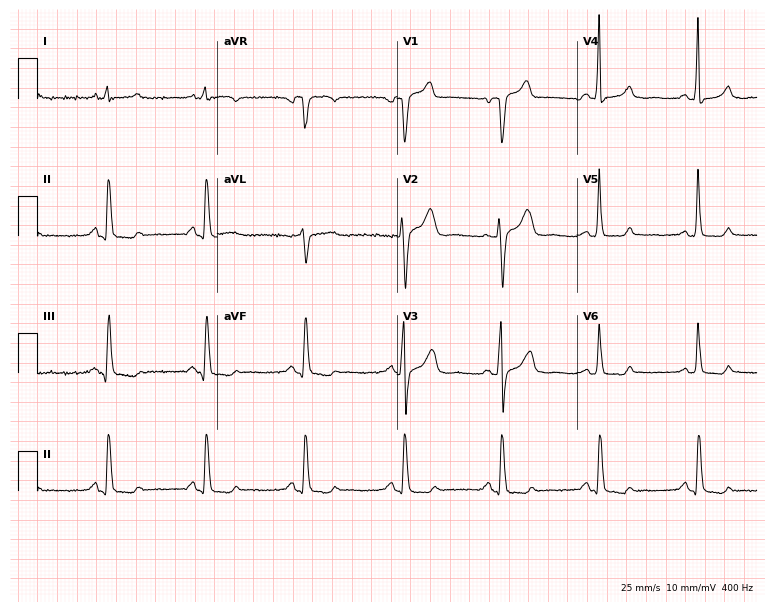
12-lead ECG from a 73-year-old male. Screened for six findings — first-degree AV block, right bundle branch block, left bundle branch block, sinus bradycardia, atrial fibrillation, sinus tachycardia — none is recorded. Only these six findings were labelled.